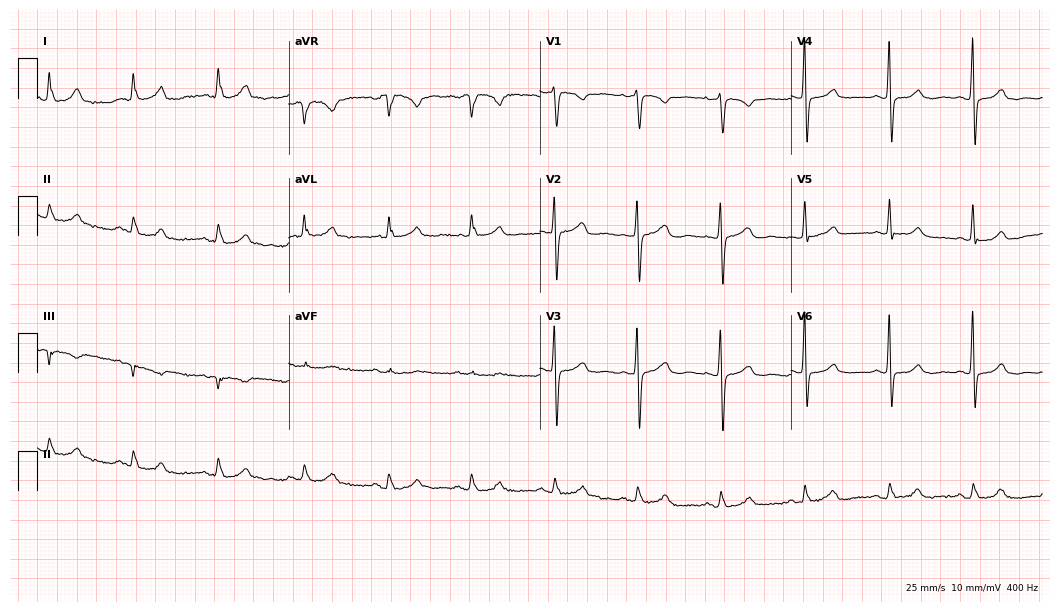
ECG (10.2-second recording at 400 Hz) — a 77-year-old male. Screened for six findings — first-degree AV block, right bundle branch block (RBBB), left bundle branch block (LBBB), sinus bradycardia, atrial fibrillation (AF), sinus tachycardia — none is recorded.